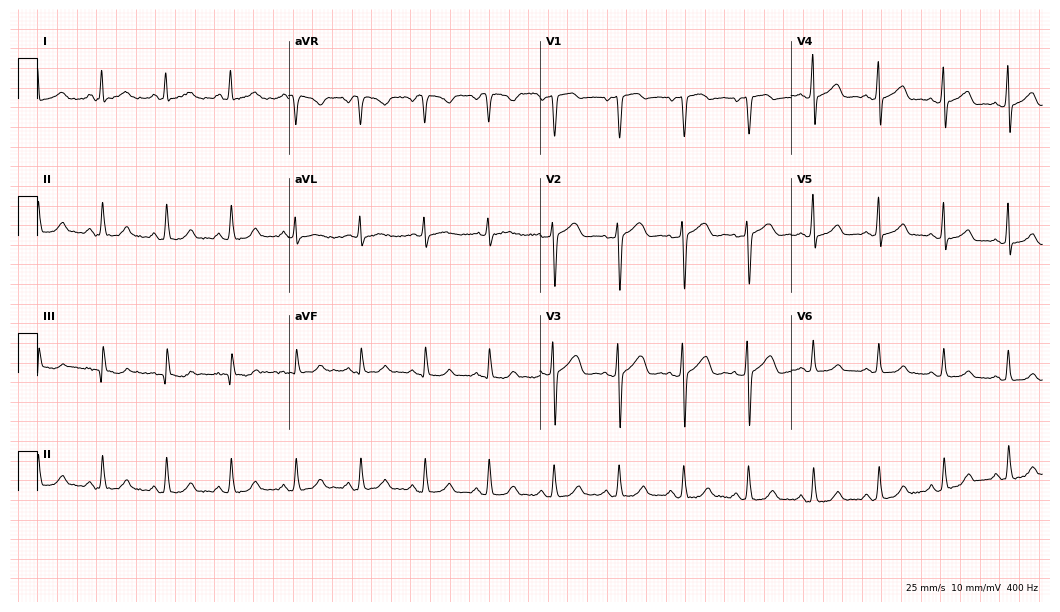
ECG — a woman, 43 years old. Labelled as a normal ECG.